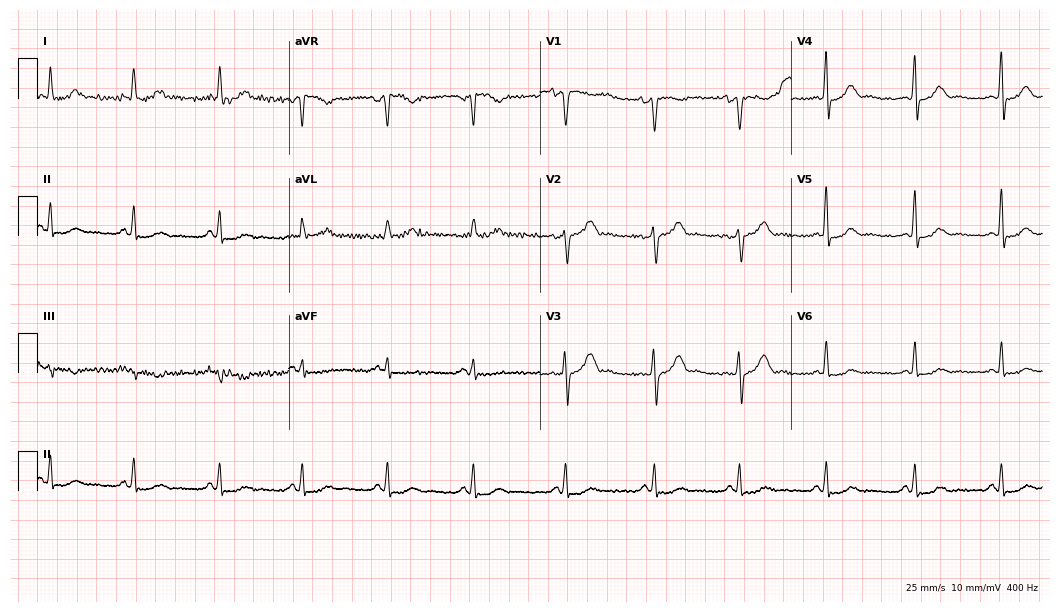
12-lead ECG from a 58-year-old male patient. Recorded interpretation: within normal limits.